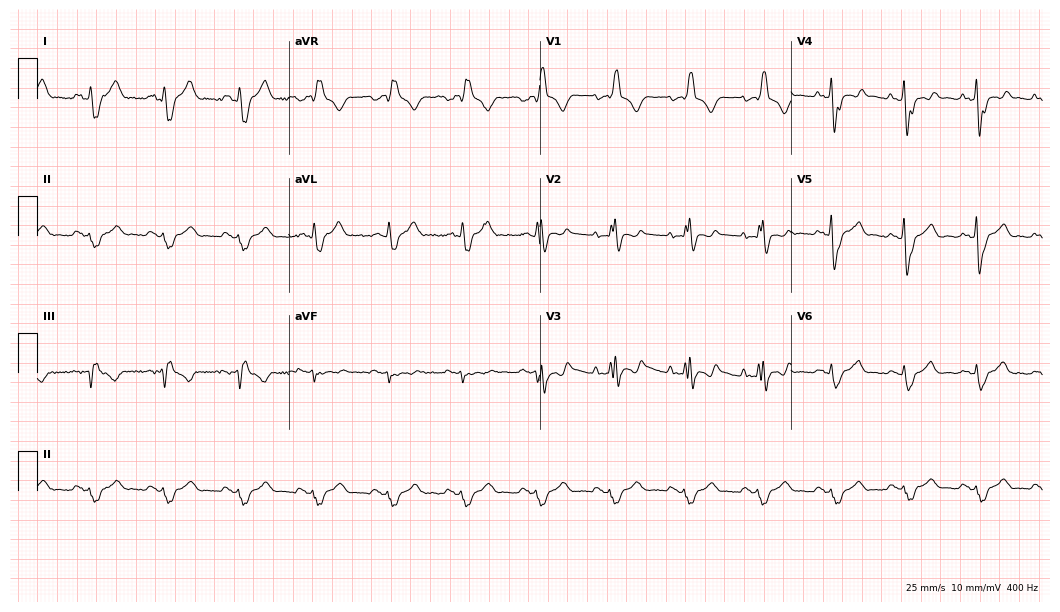
Electrocardiogram, a male patient, 54 years old. Interpretation includes right bundle branch block.